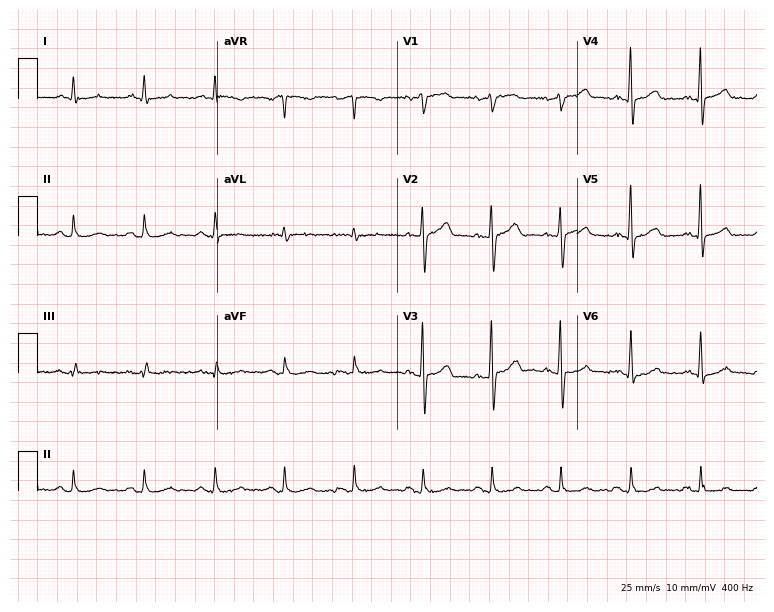
12-lead ECG from a male patient, 54 years old. No first-degree AV block, right bundle branch block, left bundle branch block, sinus bradycardia, atrial fibrillation or sinus tachycardia recorded for this tracing. Only these six findings were labelled.